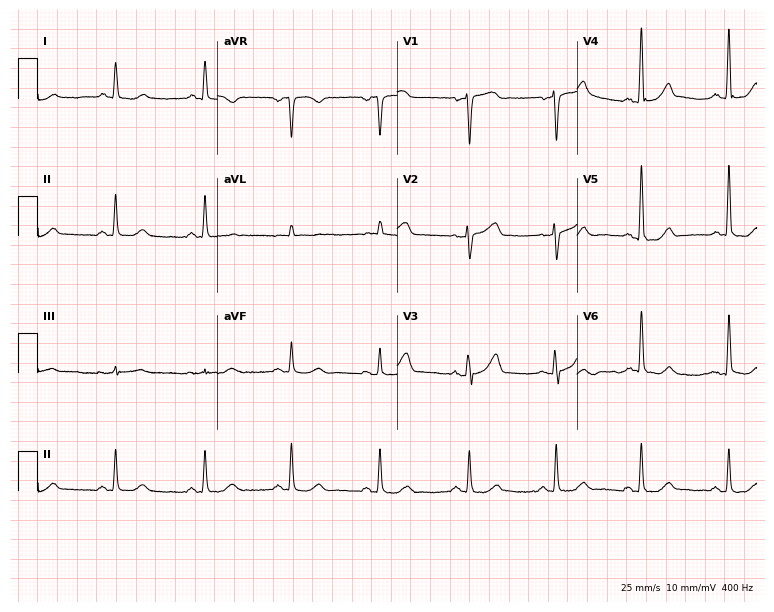
Resting 12-lead electrocardiogram. Patient: a female, 72 years old. Read as a normal ECG.